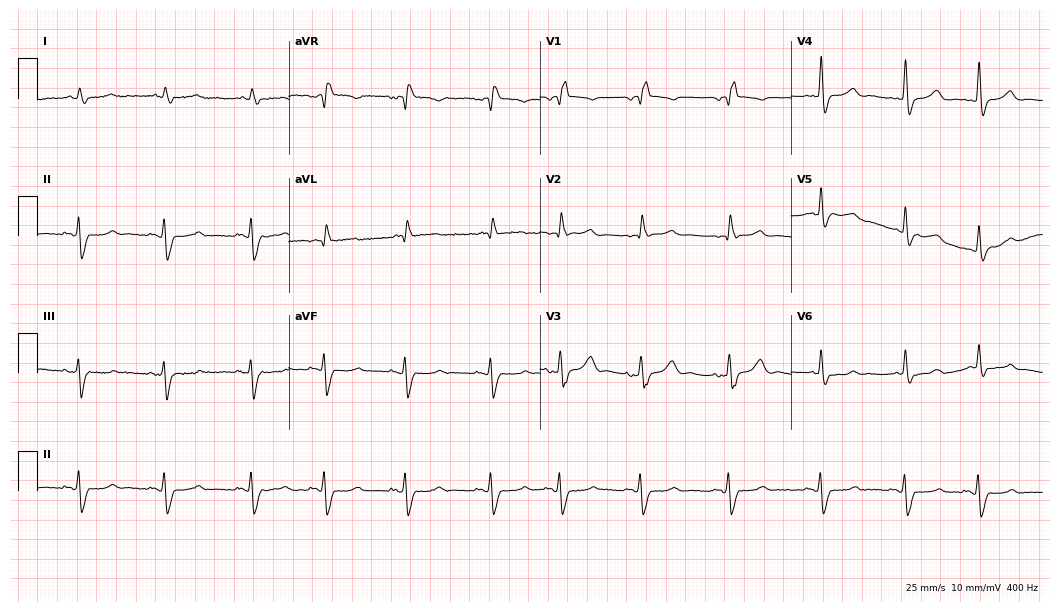
Standard 12-lead ECG recorded from an 84-year-old male patient. The tracing shows right bundle branch block.